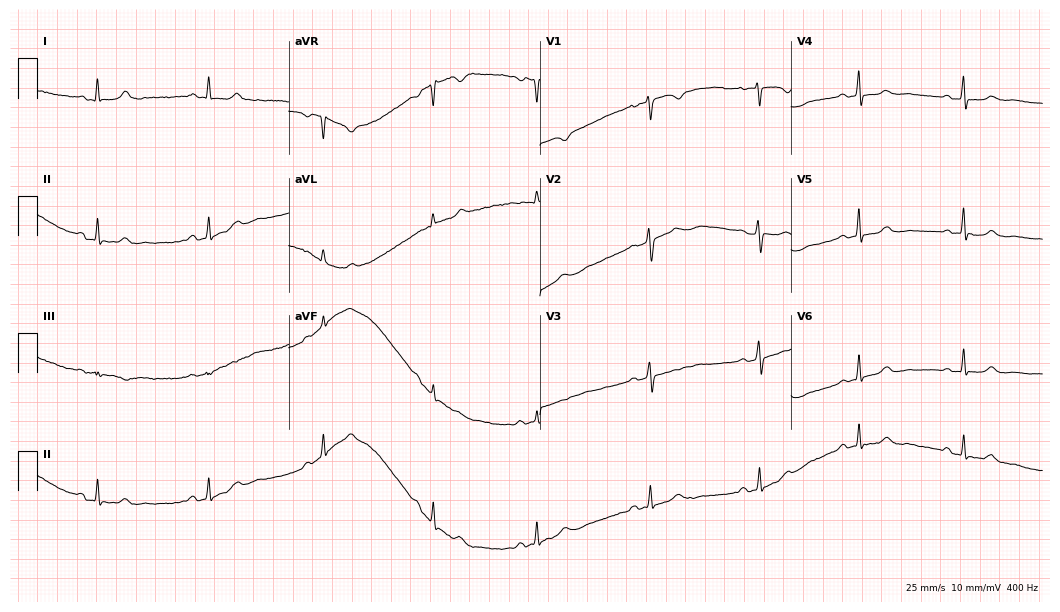
Standard 12-lead ECG recorded from a 43-year-old woman. Read as a normal ECG.